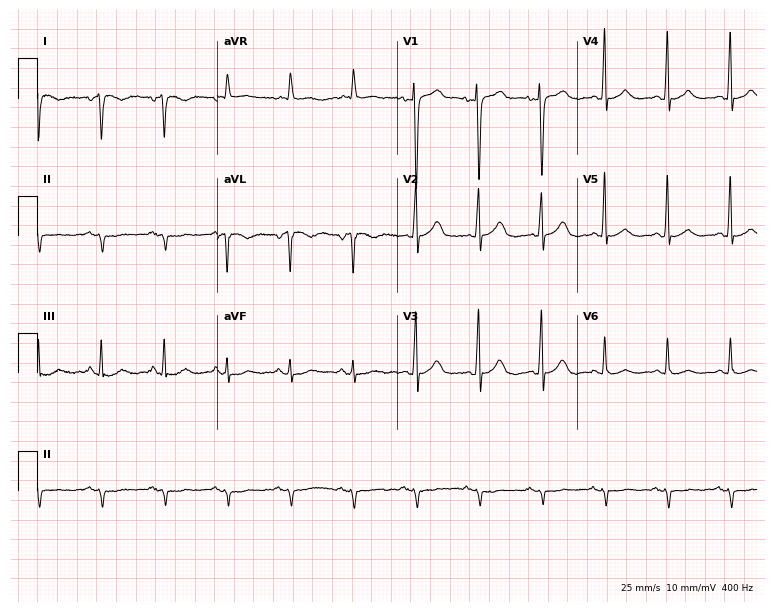
Standard 12-lead ECG recorded from a 74-year-old female (7.3-second recording at 400 Hz). None of these six findings is recorded: first-degree AV block, right bundle branch block, left bundle branch block, sinus bradycardia, atrial fibrillation, sinus tachycardia. Findings outside these six are not listed.